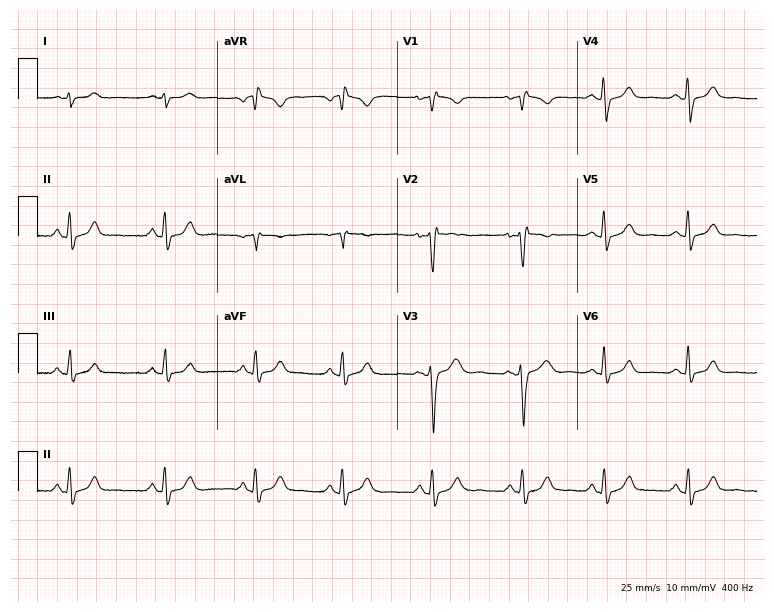
Resting 12-lead electrocardiogram (7.3-second recording at 400 Hz). Patient: a woman, 38 years old. None of these six findings is recorded: first-degree AV block, right bundle branch block, left bundle branch block, sinus bradycardia, atrial fibrillation, sinus tachycardia. Only these six findings were labelled.